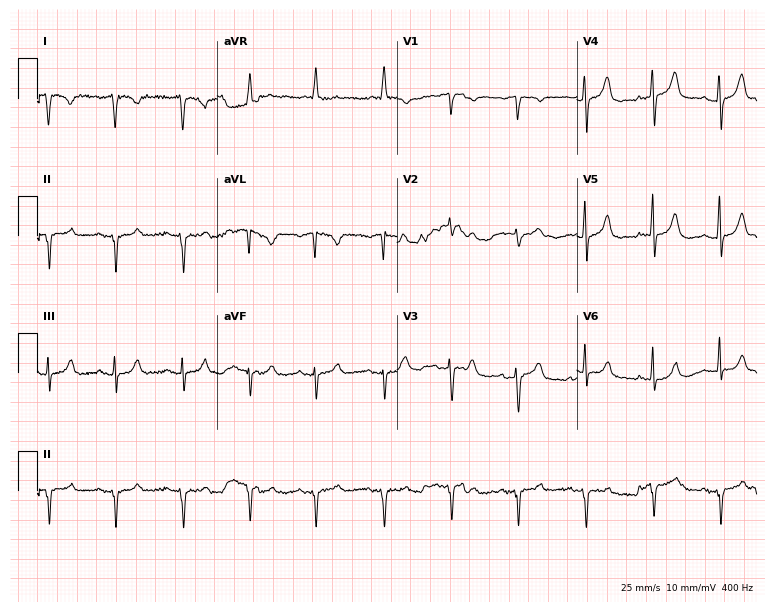
Resting 12-lead electrocardiogram (7.3-second recording at 400 Hz). Patient: an 83-year-old woman. Read as a normal ECG.